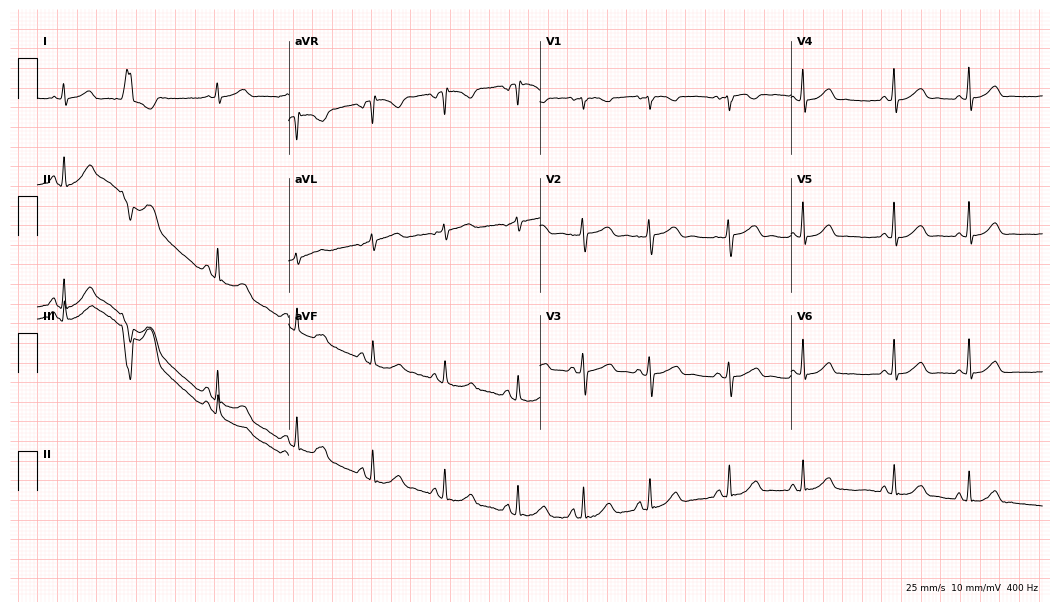
Electrocardiogram, a female patient, 43 years old. Overall reading on record: normal ECG.